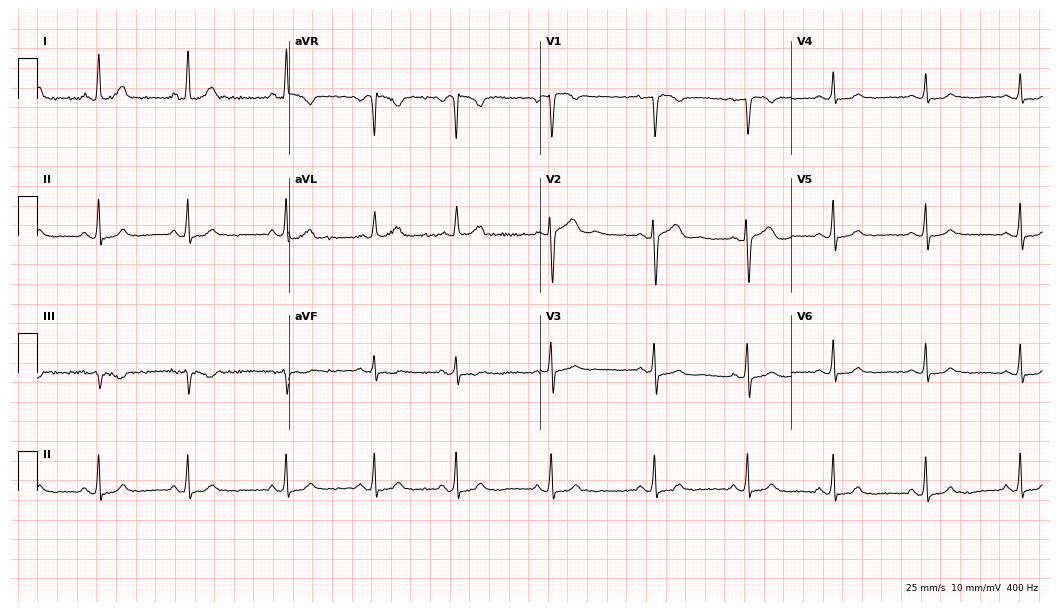
Standard 12-lead ECG recorded from an 18-year-old female patient. Read as a normal ECG.